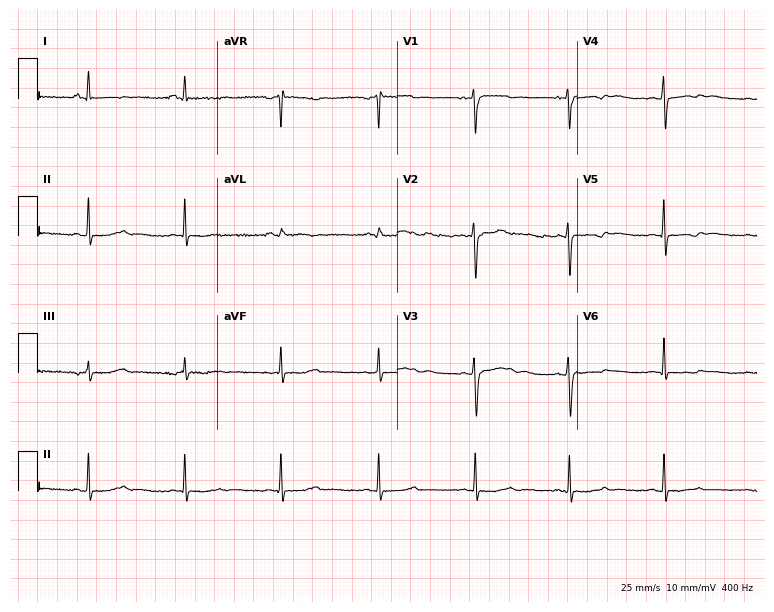
Resting 12-lead electrocardiogram. Patient: a 51-year-old female. None of these six findings is recorded: first-degree AV block, right bundle branch block (RBBB), left bundle branch block (LBBB), sinus bradycardia, atrial fibrillation (AF), sinus tachycardia. Only these six findings were labelled.